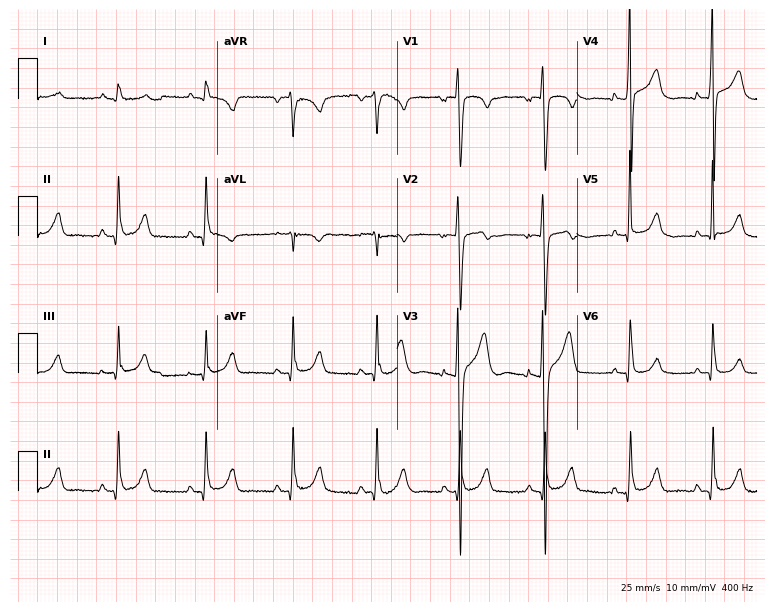
ECG — a male patient, 37 years old. Screened for six findings — first-degree AV block, right bundle branch block, left bundle branch block, sinus bradycardia, atrial fibrillation, sinus tachycardia — none is recorded. Only these six findings were labelled.